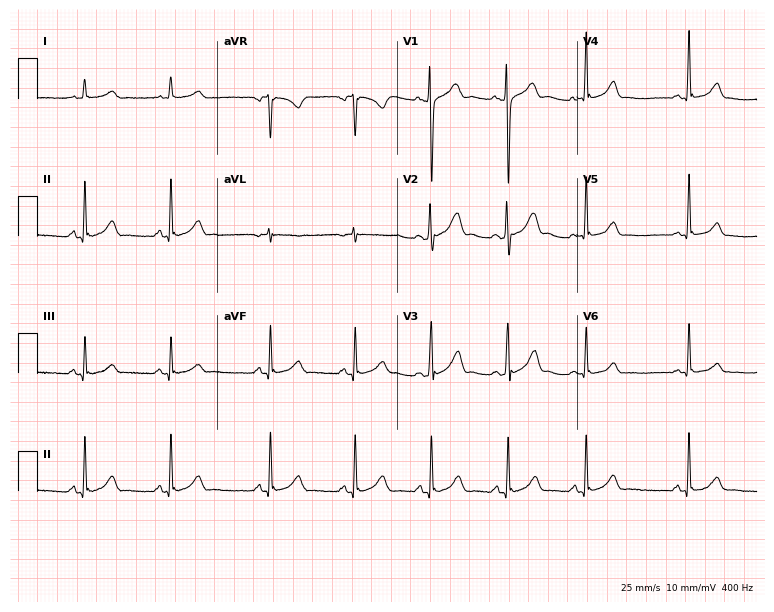
12-lead ECG from a male patient, 19 years old. No first-degree AV block, right bundle branch block, left bundle branch block, sinus bradycardia, atrial fibrillation or sinus tachycardia recorded for this tracing.